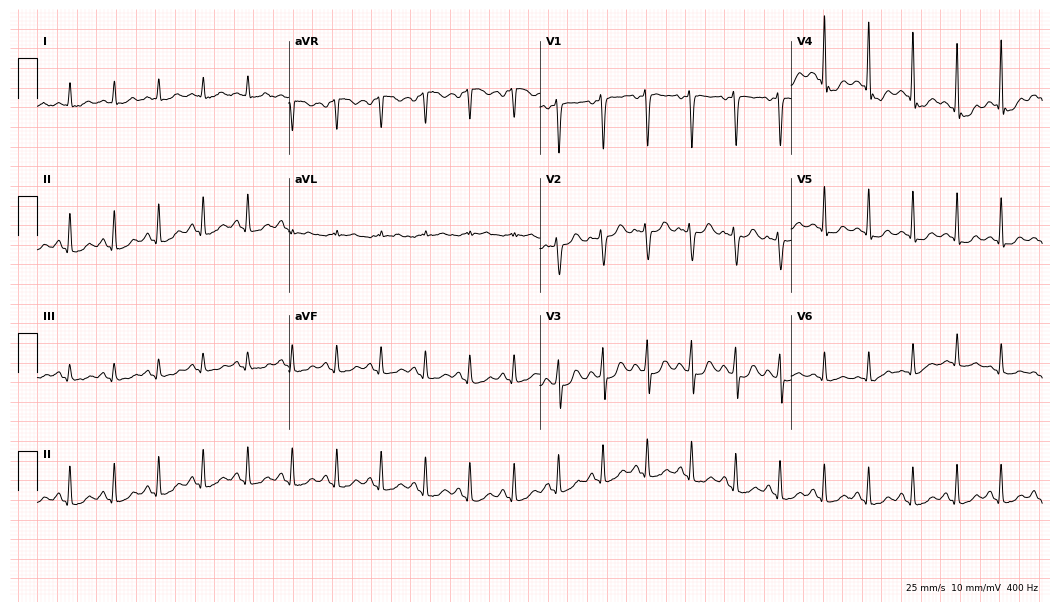
12-lead ECG from a 65-year-old female (10.2-second recording at 400 Hz). Shows sinus tachycardia (a sinus rate of 100 beats per minute or more).